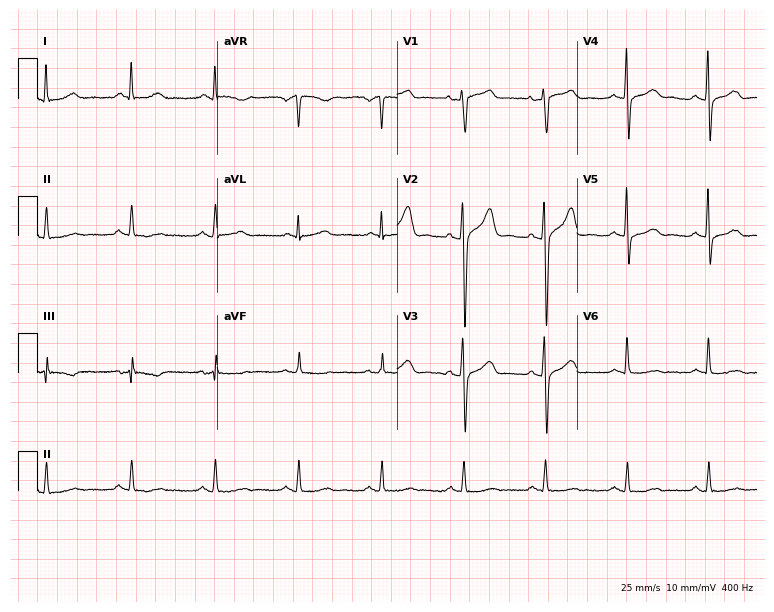
Electrocardiogram (7.3-second recording at 400 Hz), a male patient, 58 years old. Of the six screened findings (first-degree AV block, right bundle branch block, left bundle branch block, sinus bradycardia, atrial fibrillation, sinus tachycardia), none is recorded.